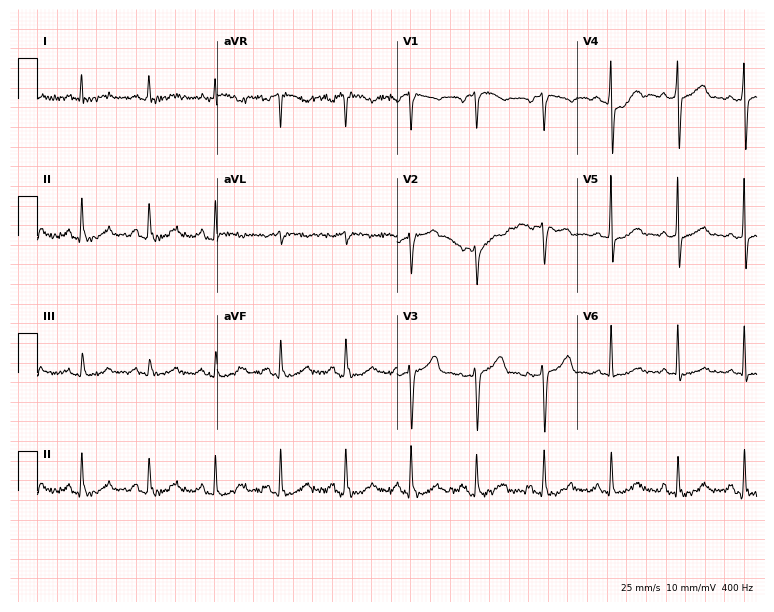
Standard 12-lead ECG recorded from a male, 70 years old (7.3-second recording at 400 Hz). Read as a normal ECG.